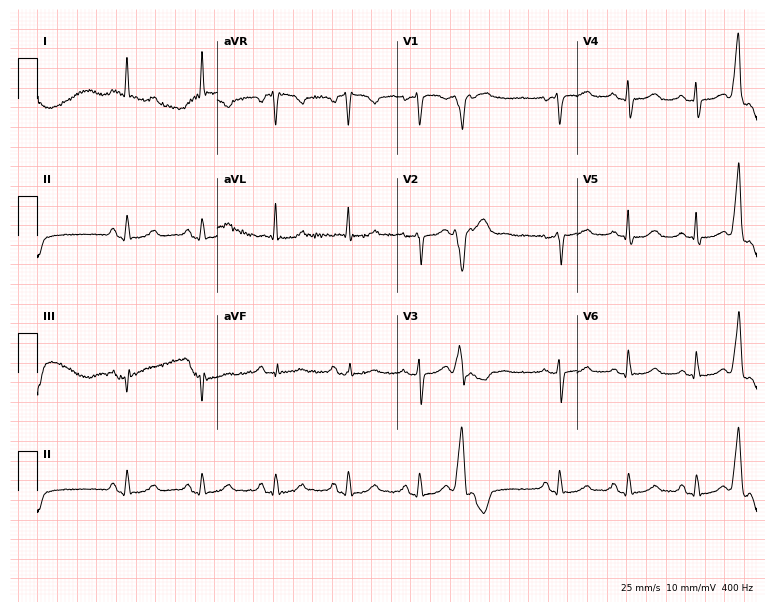
Resting 12-lead electrocardiogram (7.3-second recording at 400 Hz). Patient: a female, 55 years old. None of these six findings is recorded: first-degree AV block, right bundle branch block, left bundle branch block, sinus bradycardia, atrial fibrillation, sinus tachycardia.